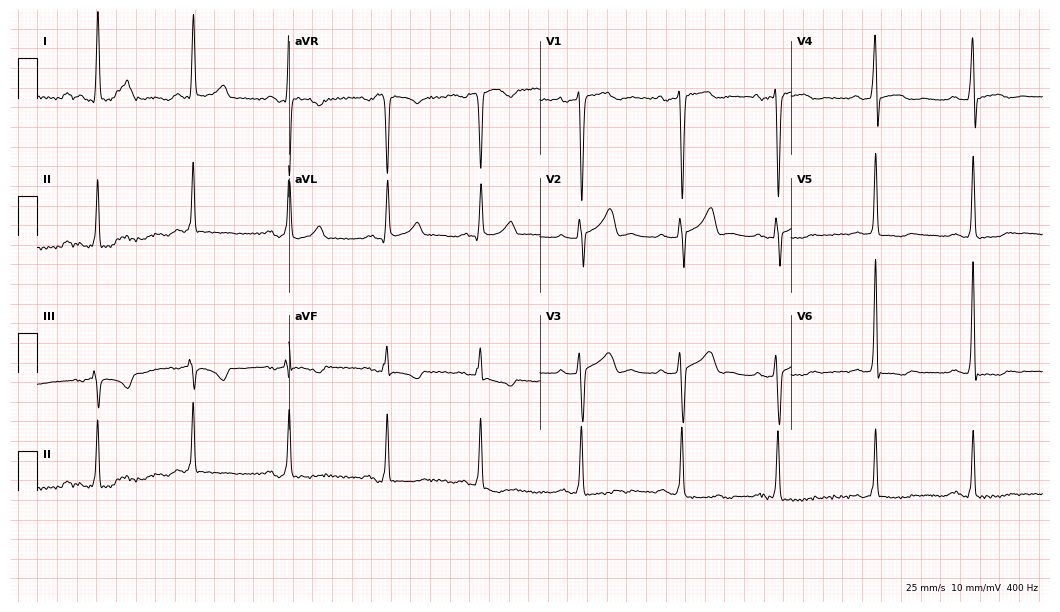
Standard 12-lead ECG recorded from a male patient, 50 years old. None of these six findings is recorded: first-degree AV block, right bundle branch block (RBBB), left bundle branch block (LBBB), sinus bradycardia, atrial fibrillation (AF), sinus tachycardia. Only these six findings were labelled.